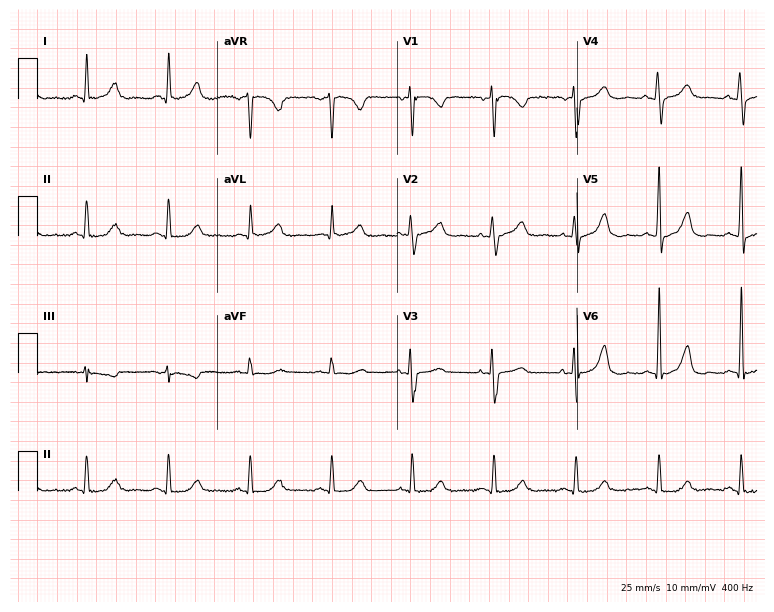
Electrocardiogram (7.3-second recording at 400 Hz), a 75-year-old woman. Overall reading on record: normal ECG.